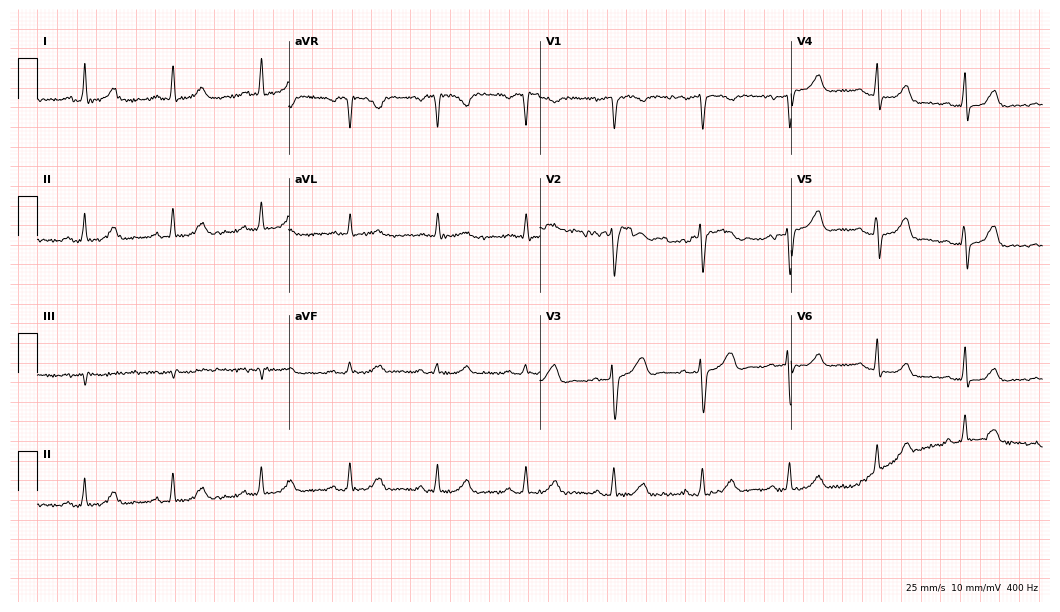
Electrocardiogram (10.2-second recording at 400 Hz), a 57-year-old female patient. Of the six screened findings (first-degree AV block, right bundle branch block (RBBB), left bundle branch block (LBBB), sinus bradycardia, atrial fibrillation (AF), sinus tachycardia), none is recorded. Findings outside these six are not listed.